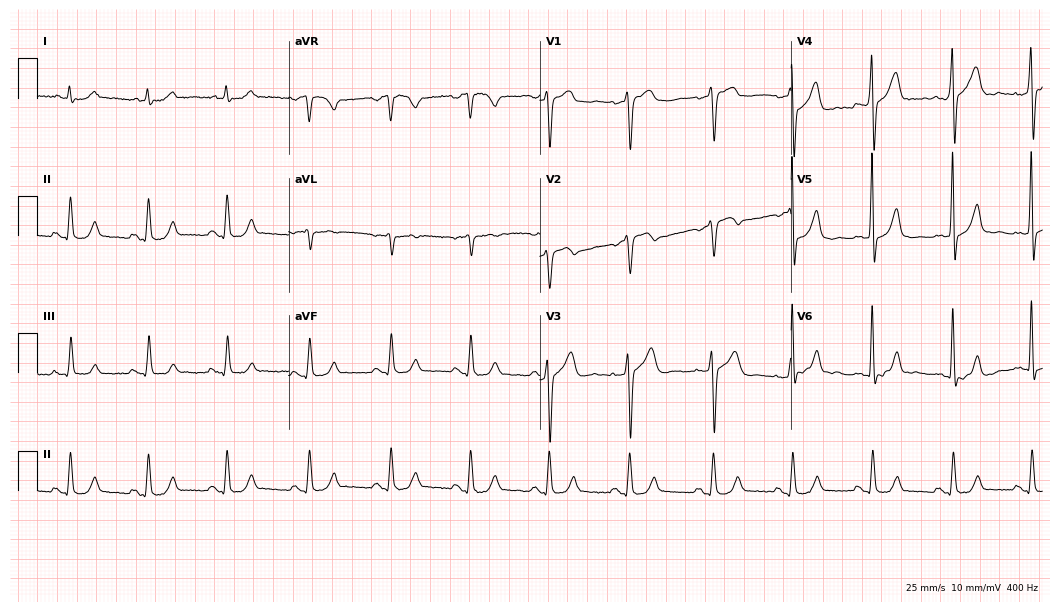
Resting 12-lead electrocardiogram (10.2-second recording at 400 Hz). Patient: a man, 77 years old. Read as a normal ECG.